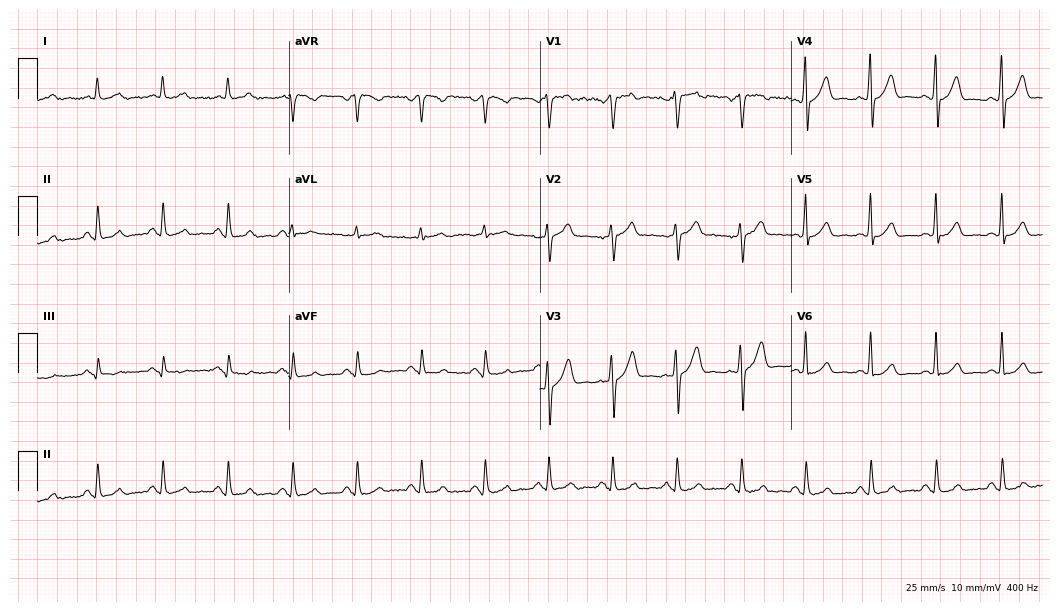
Standard 12-lead ECG recorded from a man, 53 years old (10.2-second recording at 400 Hz). Read as a normal ECG.